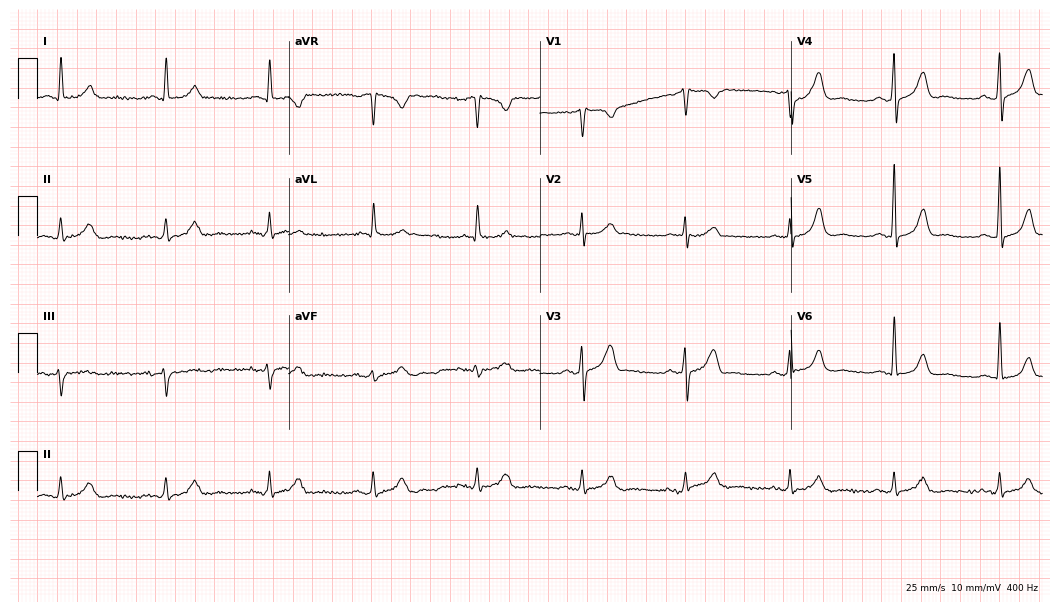
ECG — a 76-year-old male patient. Labelled as a normal ECG.